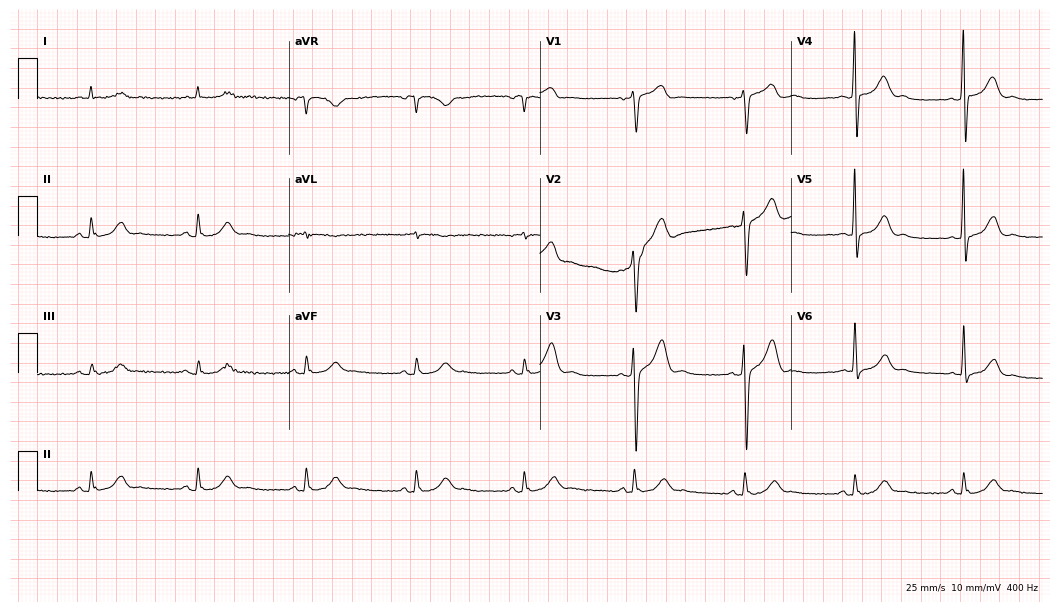
12-lead ECG (10.2-second recording at 400 Hz) from a 78-year-old man. Screened for six findings — first-degree AV block, right bundle branch block, left bundle branch block, sinus bradycardia, atrial fibrillation, sinus tachycardia — none is recorded.